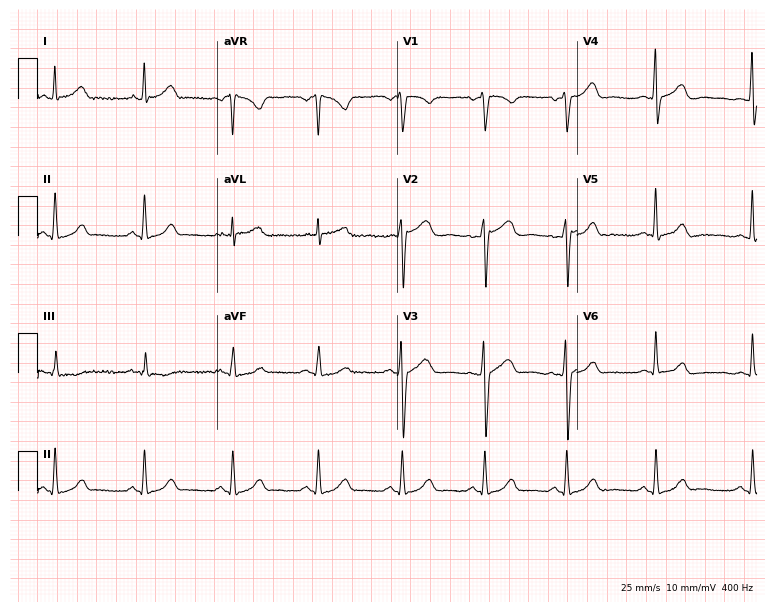
ECG (7.3-second recording at 400 Hz) — a 35-year-old female patient. Labelled as a normal ECG.